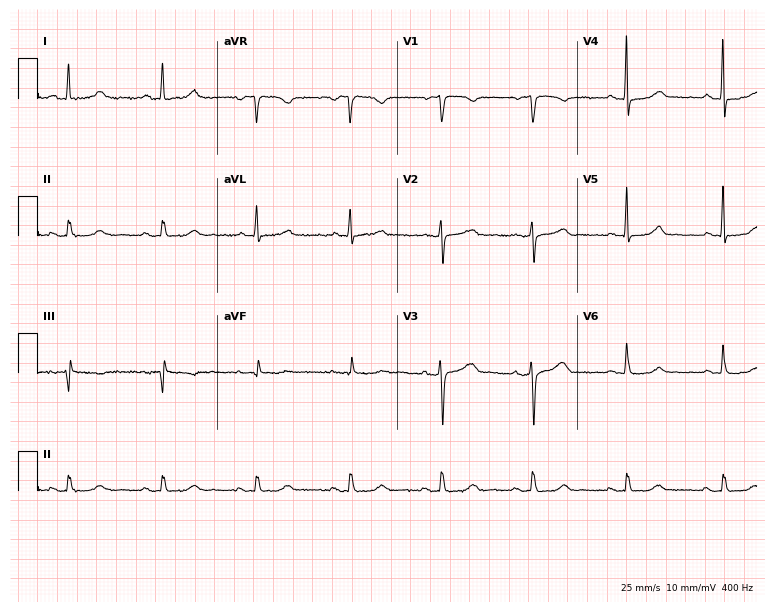
Electrocardiogram, a 61-year-old female. Overall reading on record: normal ECG.